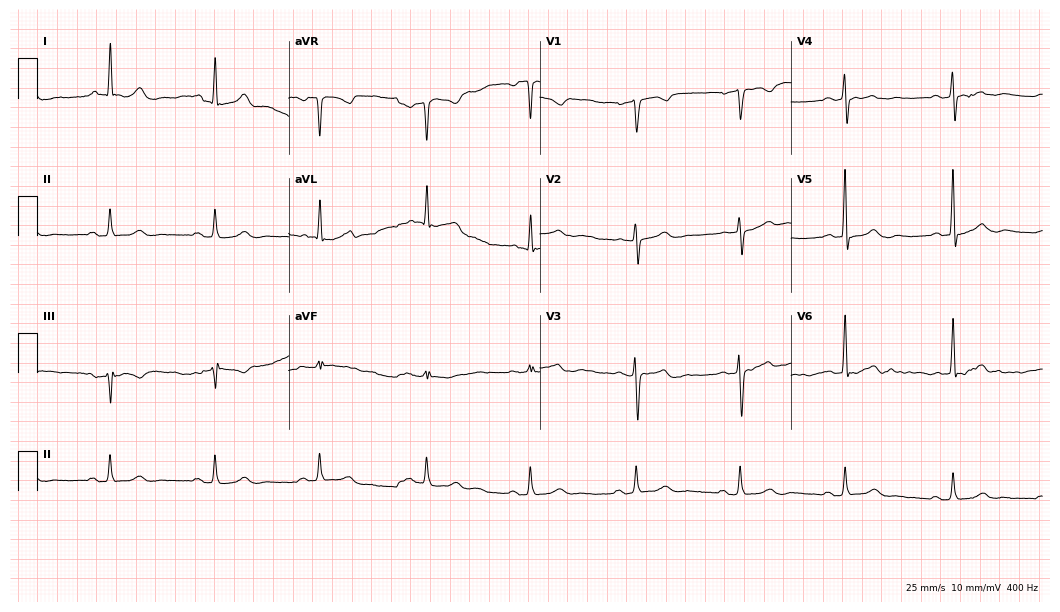
12-lead ECG from a 70-year-old female patient. Labelled as a normal ECG.